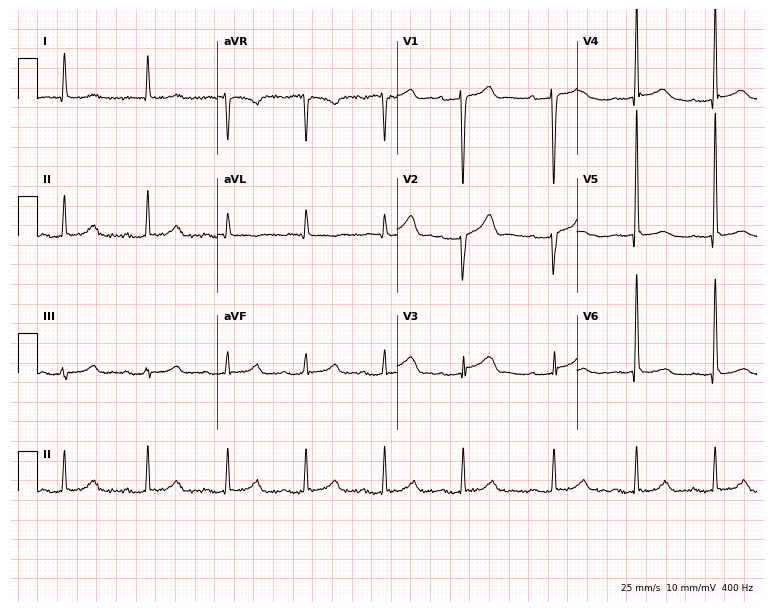
Standard 12-lead ECG recorded from a 77-year-old male (7.3-second recording at 400 Hz). The tracing shows first-degree AV block.